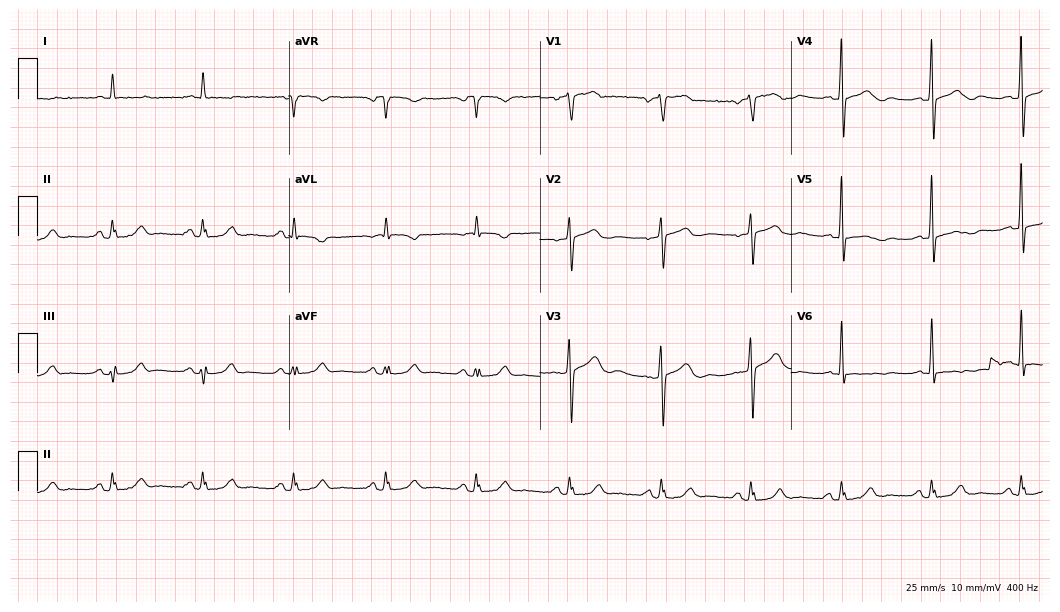
ECG (10.2-second recording at 400 Hz) — a 64-year-old man. Screened for six findings — first-degree AV block, right bundle branch block (RBBB), left bundle branch block (LBBB), sinus bradycardia, atrial fibrillation (AF), sinus tachycardia — none is recorded.